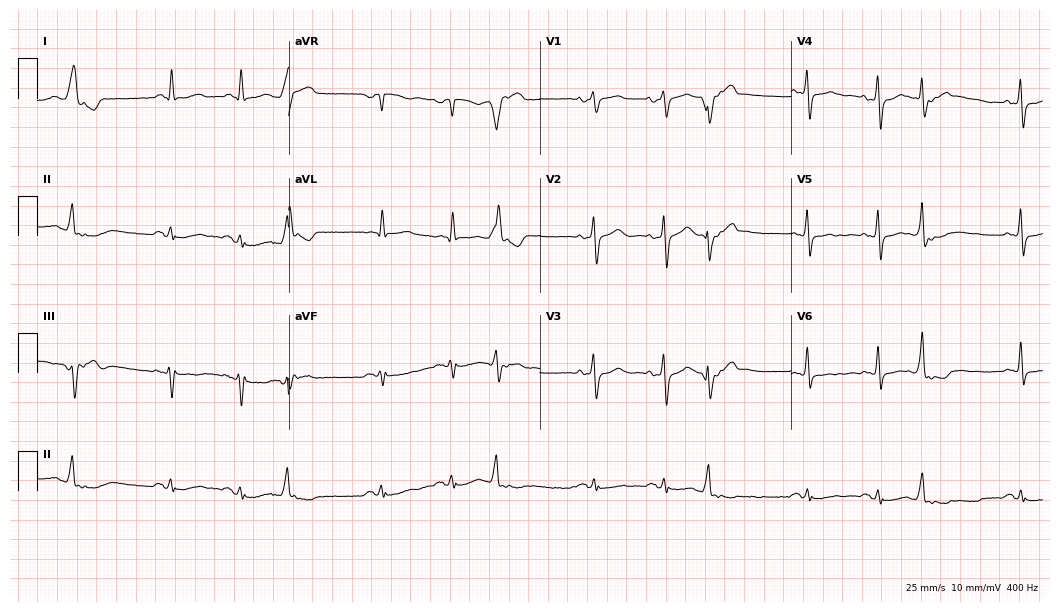
12-lead ECG from a man, 75 years old (10.2-second recording at 400 Hz). No first-degree AV block, right bundle branch block, left bundle branch block, sinus bradycardia, atrial fibrillation or sinus tachycardia recorded for this tracing. Other findings, if any, are not listed.